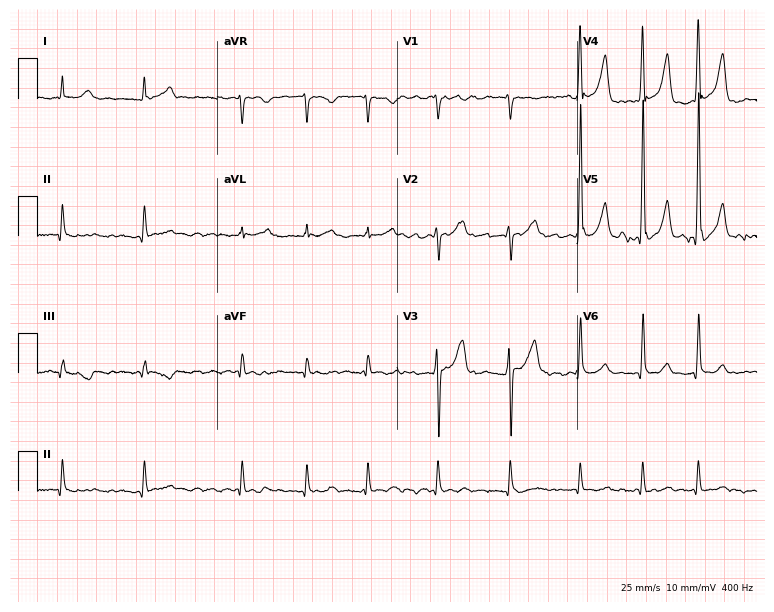
Electrocardiogram, a male, 84 years old. Interpretation includes atrial fibrillation.